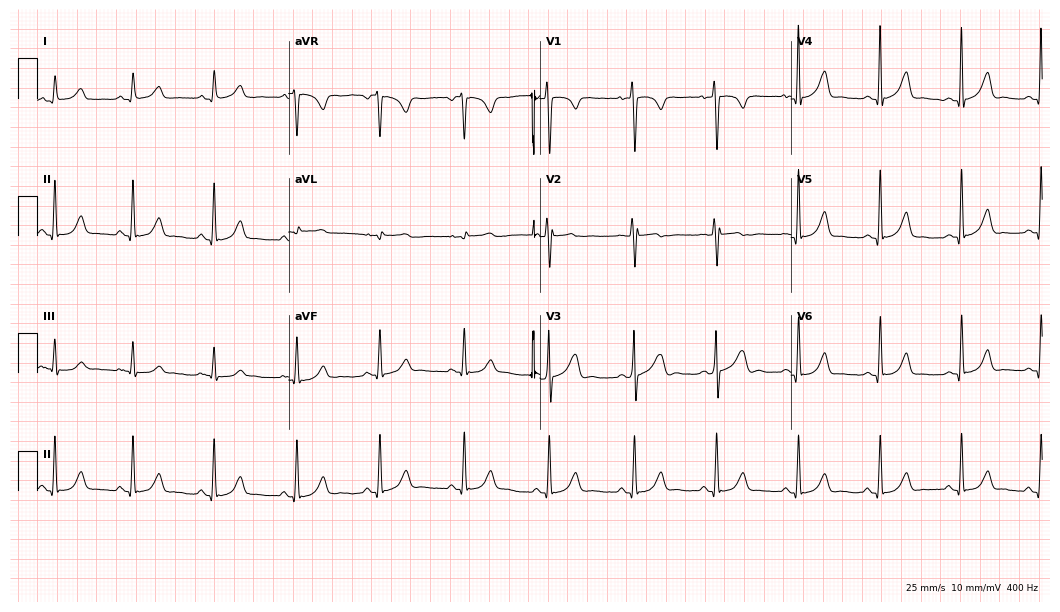
Standard 12-lead ECG recorded from a 52-year-old man. Read as a normal ECG.